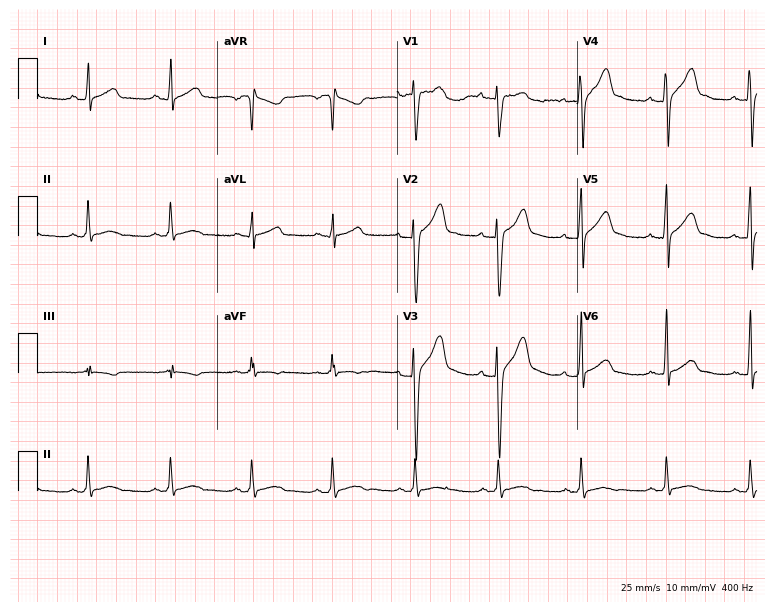
Resting 12-lead electrocardiogram. Patient: a 30-year-old male. None of these six findings is recorded: first-degree AV block, right bundle branch block, left bundle branch block, sinus bradycardia, atrial fibrillation, sinus tachycardia.